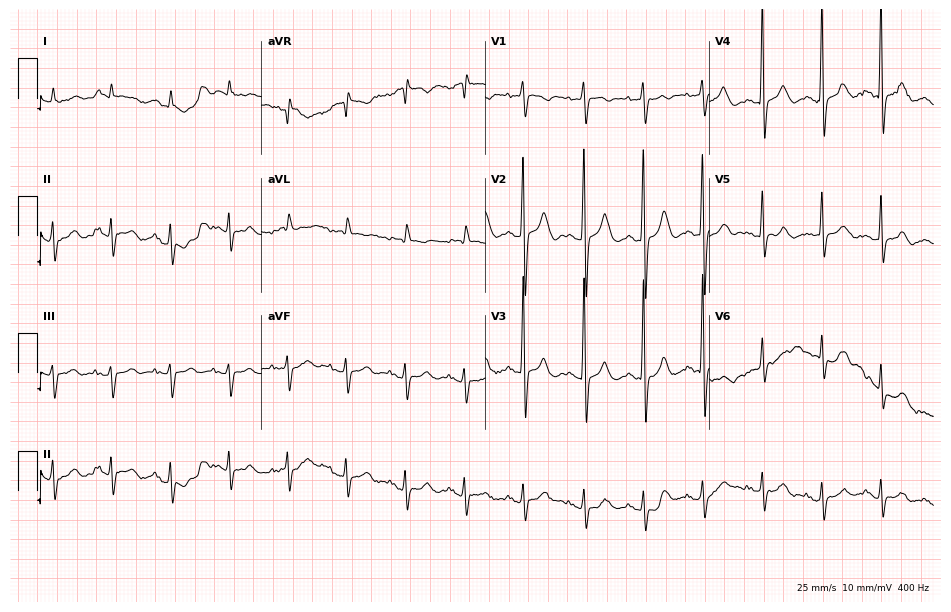
12-lead ECG from a 76-year-old female patient (9.1-second recording at 400 Hz). Recorded interpretation: within normal limits.